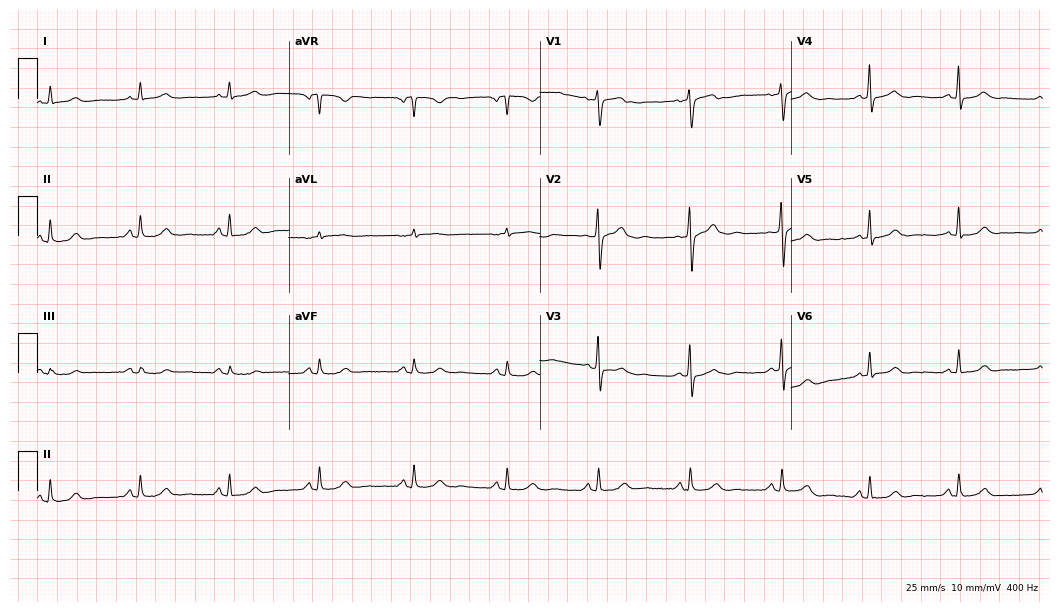
ECG (10.2-second recording at 400 Hz) — a 59-year-old female patient. Labelled as a normal ECG.